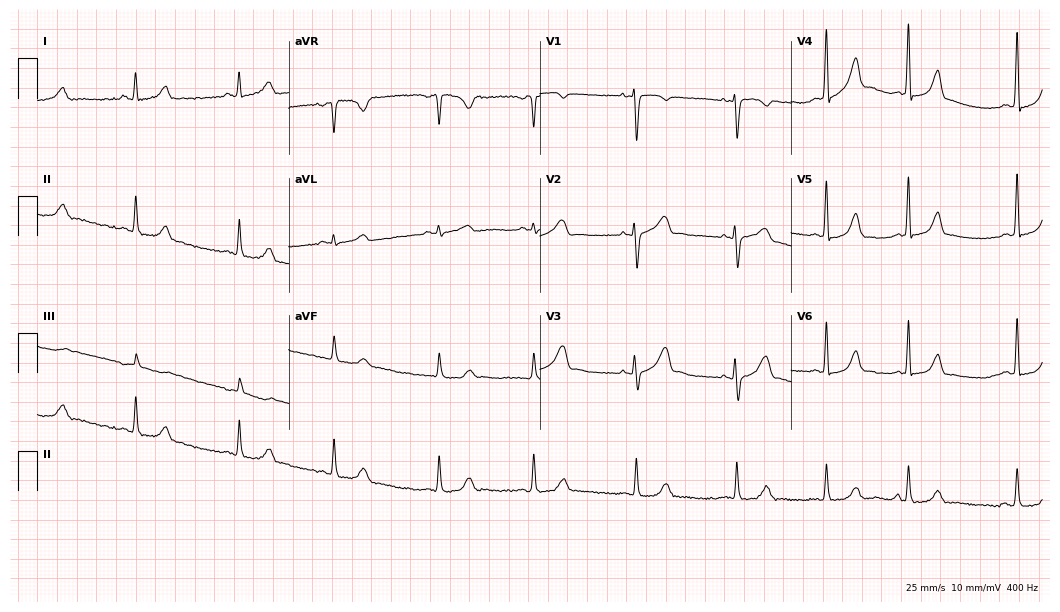
ECG (10.2-second recording at 400 Hz) — a 33-year-old woman. Screened for six findings — first-degree AV block, right bundle branch block (RBBB), left bundle branch block (LBBB), sinus bradycardia, atrial fibrillation (AF), sinus tachycardia — none is recorded. Other findings, if any, are not listed.